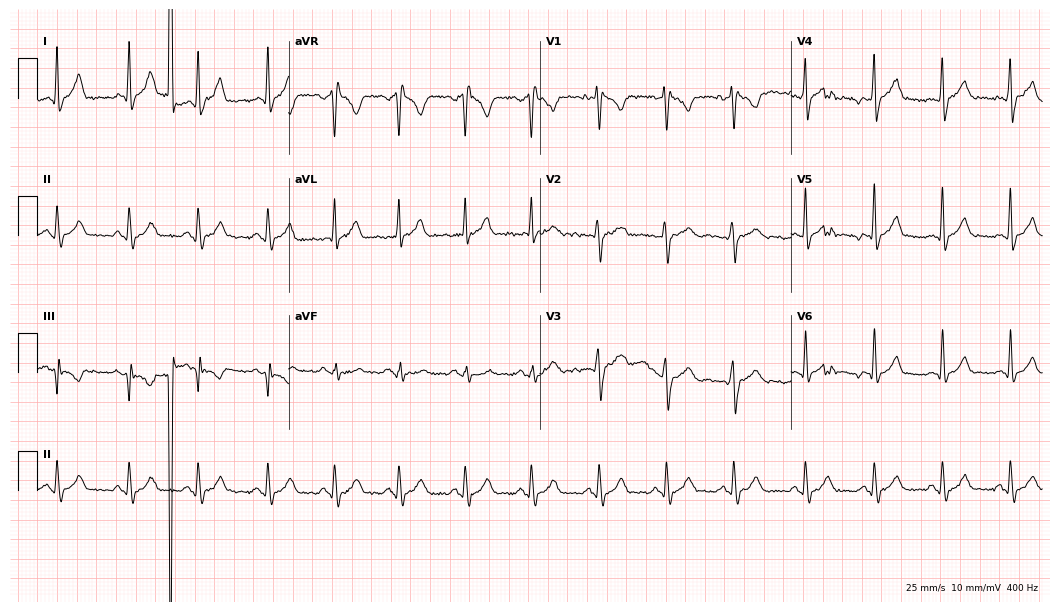
12-lead ECG from a 24-year-old man. Screened for six findings — first-degree AV block, right bundle branch block (RBBB), left bundle branch block (LBBB), sinus bradycardia, atrial fibrillation (AF), sinus tachycardia — none is recorded.